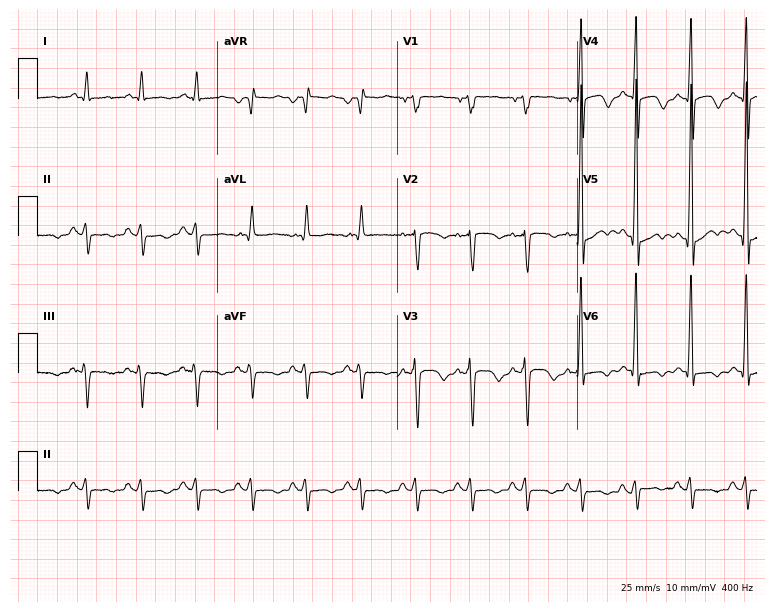
Electrocardiogram, a 60-year-old male. Of the six screened findings (first-degree AV block, right bundle branch block, left bundle branch block, sinus bradycardia, atrial fibrillation, sinus tachycardia), none is recorded. Other findings, if any, are not listed.